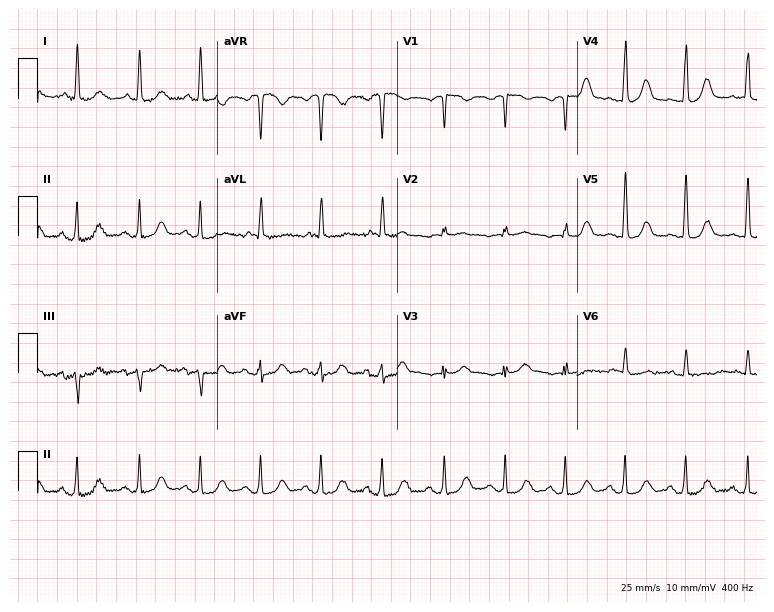
Electrocardiogram, a 78-year-old female. Overall reading on record: normal ECG.